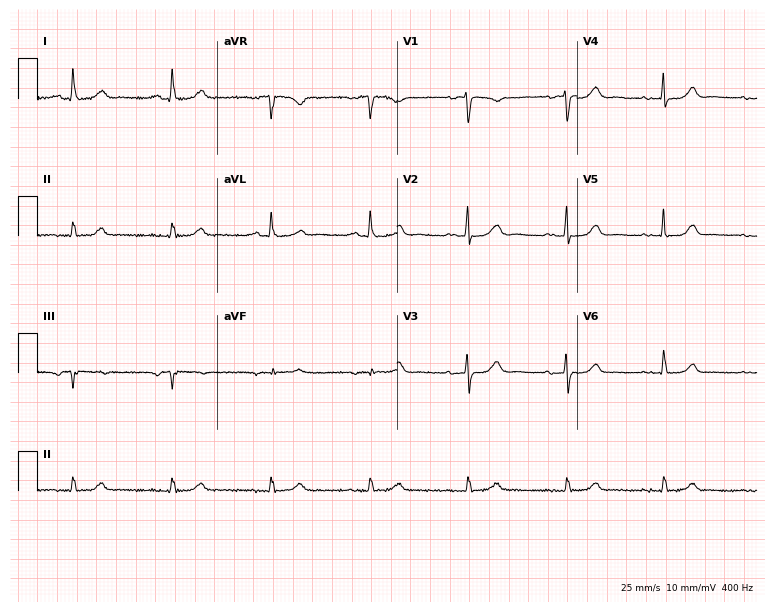
Resting 12-lead electrocardiogram. Patient: a 78-year-old female. Read as a normal ECG.